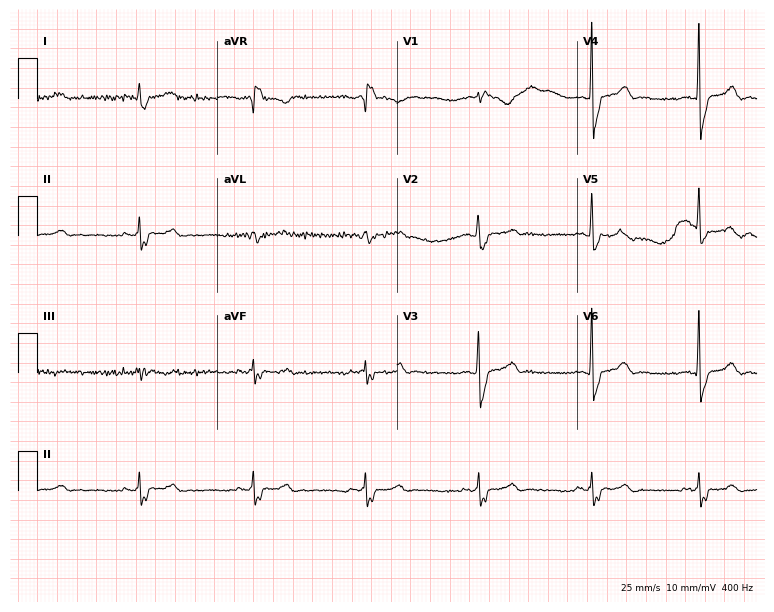
ECG — a 38-year-old woman. Findings include first-degree AV block, right bundle branch block (RBBB).